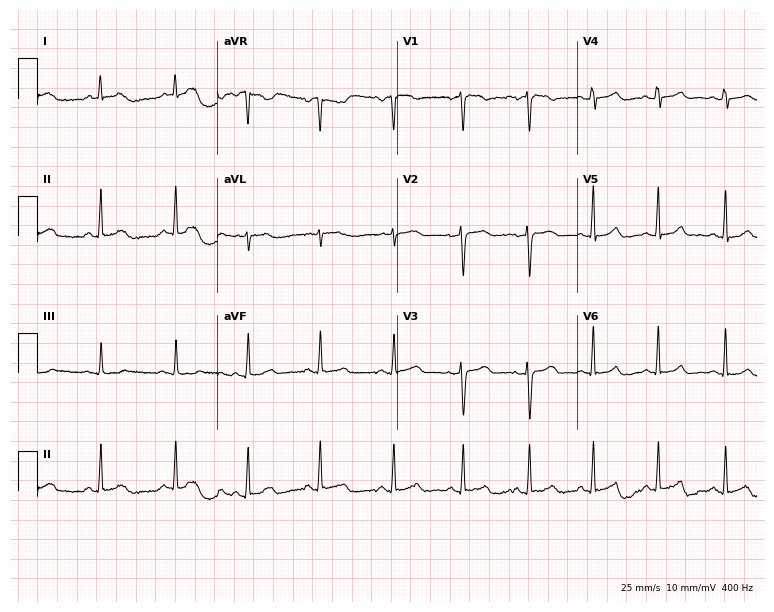
Electrocardiogram (7.3-second recording at 400 Hz), a woman, 42 years old. Overall reading on record: normal ECG.